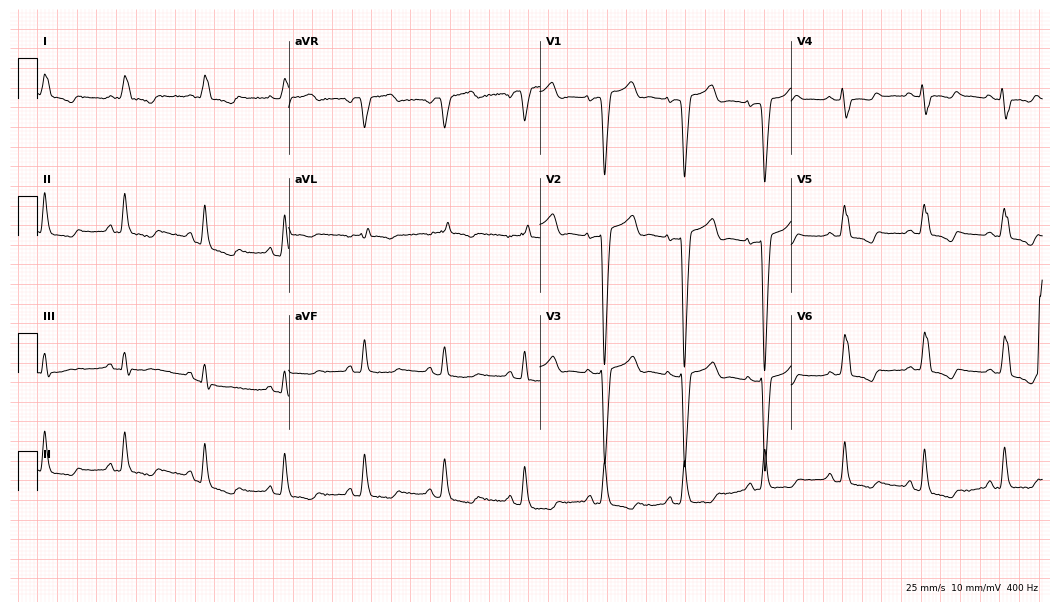
Resting 12-lead electrocardiogram (10.2-second recording at 400 Hz). Patient: a female, 76 years old. The tracing shows left bundle branch block (LBBB).